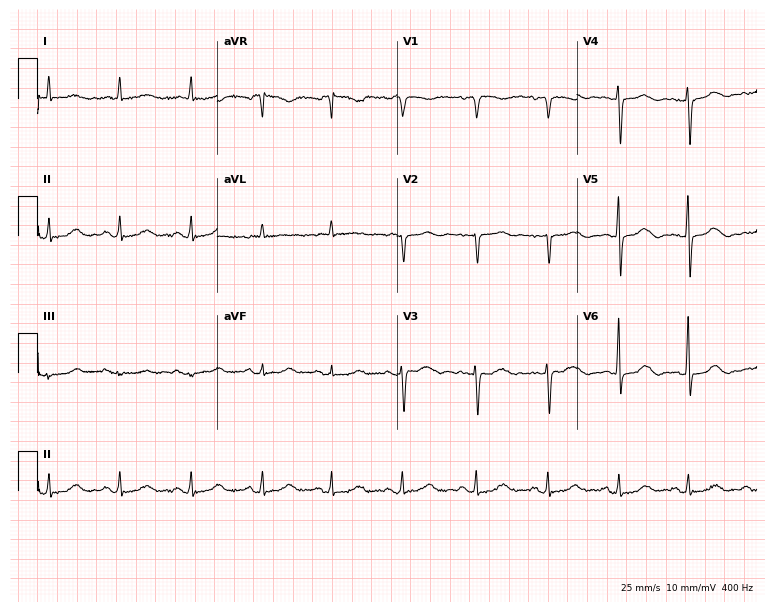
ECG — a 72-year-old female. Screened for six findings — first-degree AV block, right bundle branch block (RBBB), left bundle branch block (LBBB), sinus bradycardia, atrial fibrillation (AF), sinus tachycardia — none is recorded. Other findings, if any, are not listed.